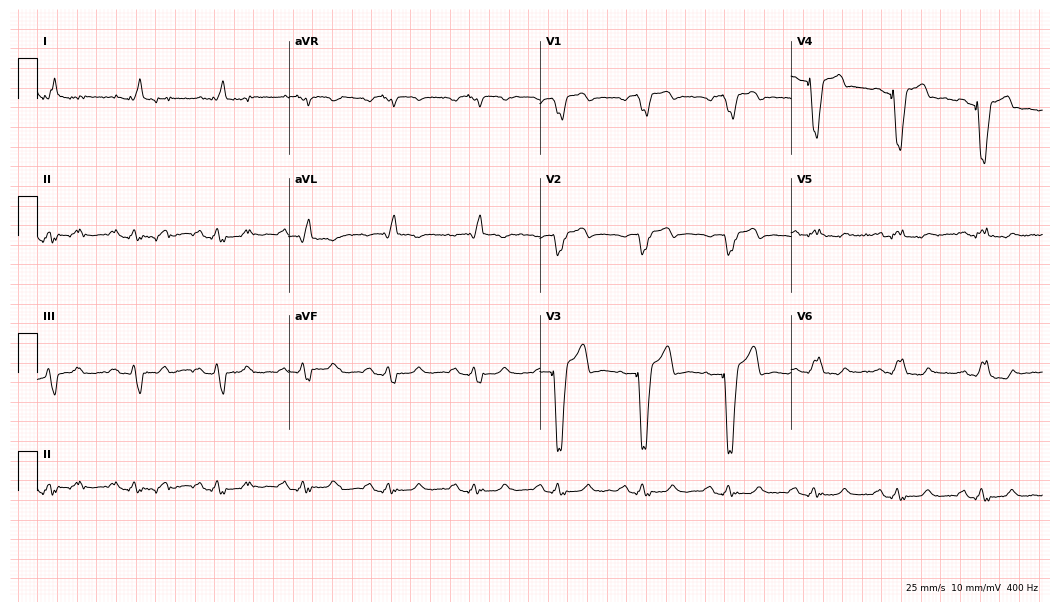
Resting 12-lead electrocardiogram (10.2-second recording at 400 Hz). Patient: a male, 65 years old. None of these six findings is recorded: first-degree AV block, right bundle branch block, left bundle branch block, sinus bradycardia, atrial fibrillation, sinus tachycardia. Other findings, if any, are not listed.